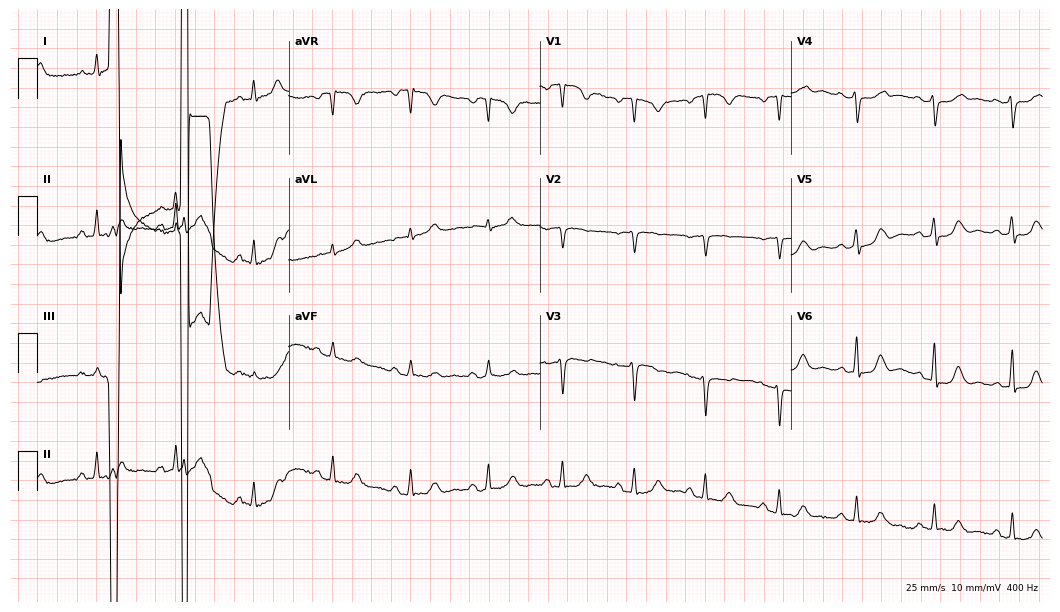
12-lead ECG from a 56-year-old female patient. Recorded interpretation: within normal limits.